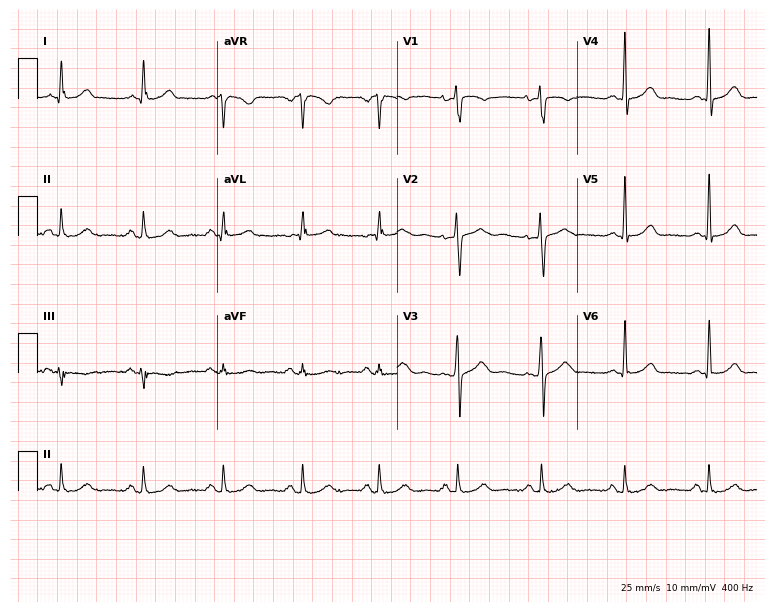
12-lead ECG from a 33-year-old woman. Recorded interpretation: within normal limits.